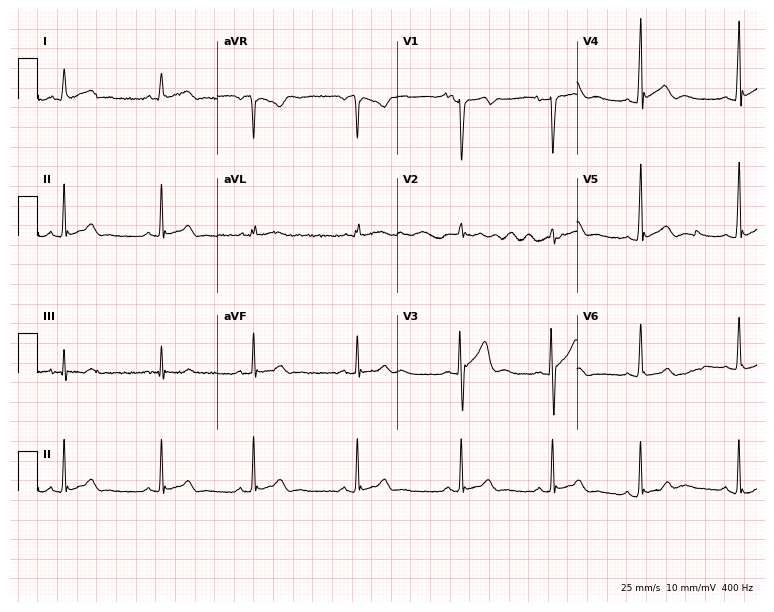
ECG — a male, 20 years old. Screened for six findings — first-degree AV block, right bundle branch block, left bundle branch block, sinus bradycardia, atrial fibrillation, sinus tachycardia — none is recorded. Other findings, if any, are not listed.